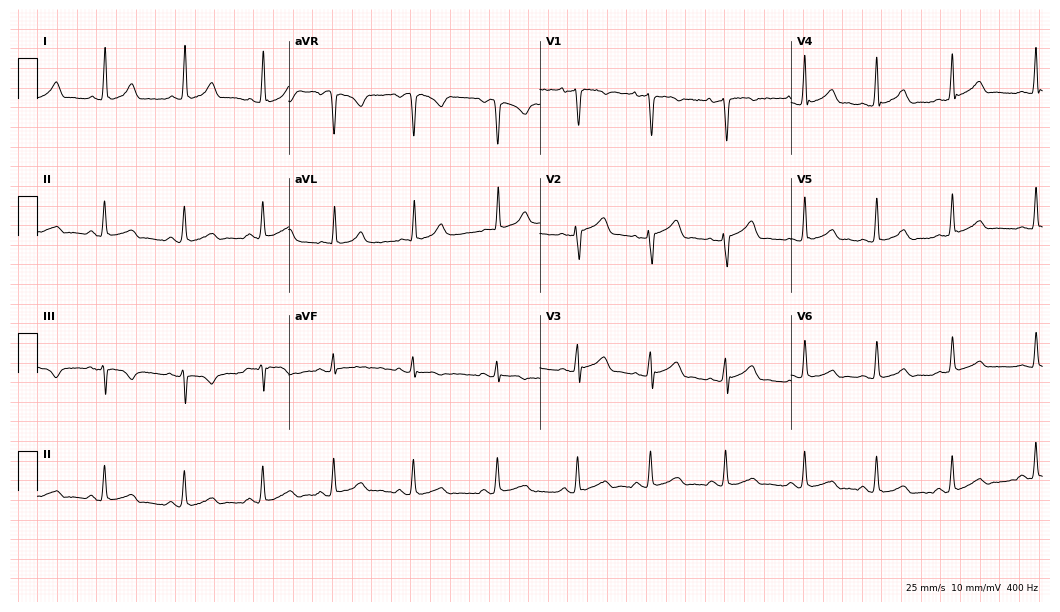
Resting 12-lead electrocardiogram (10.2-second recording at 400 Hz). Patient: a 28-year-old female. Read as a normal ECG.